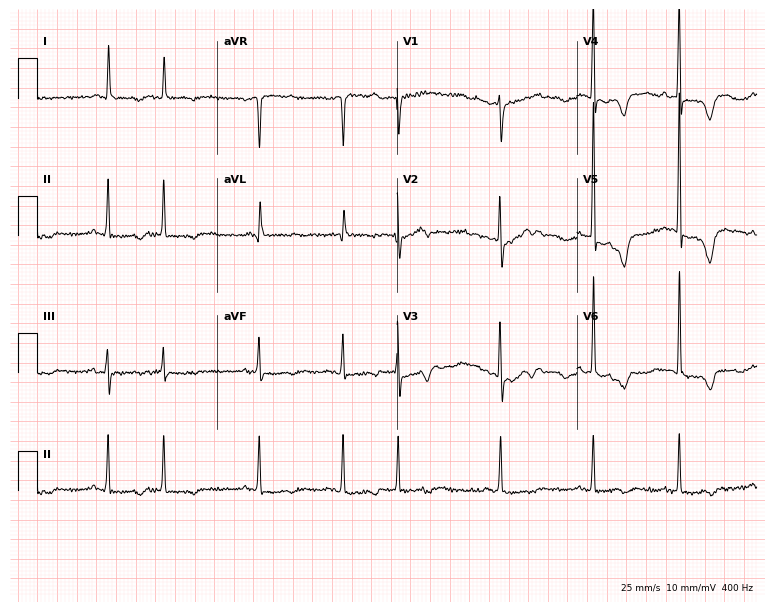
ECG (7.3-second recording at 400 Hz) — an 84-year-old female. Screened for six findings — first-degree AV block, right bundle branch block, left bundle branch block, sinus bradycardia, atrial fibrillation, sinus tachycardia — none is recorded. Only these six findings were labelled.